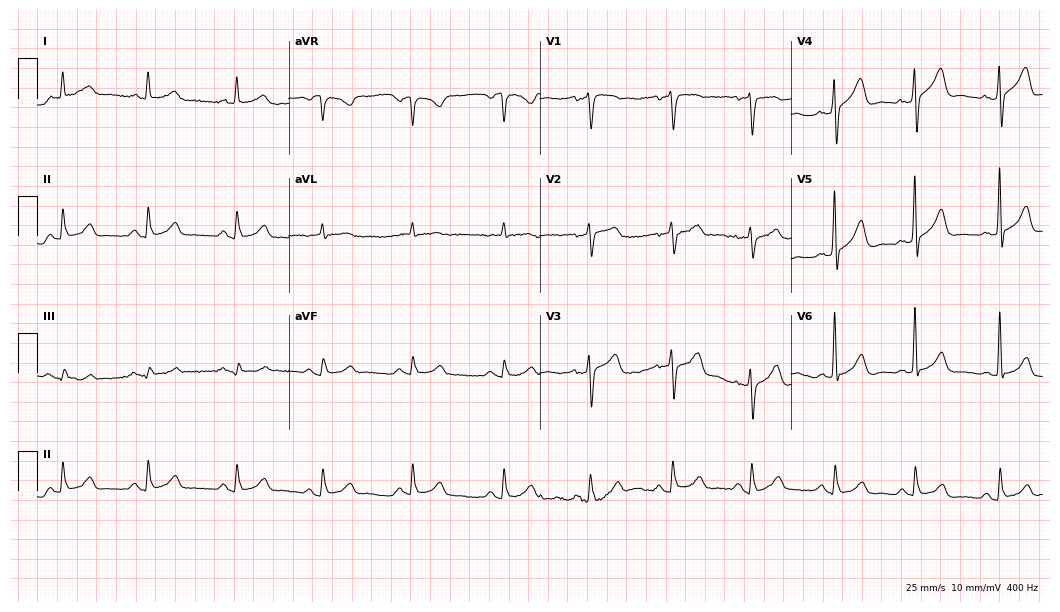
ECG — a 78-year-old man. Labelled as a normal ECG.